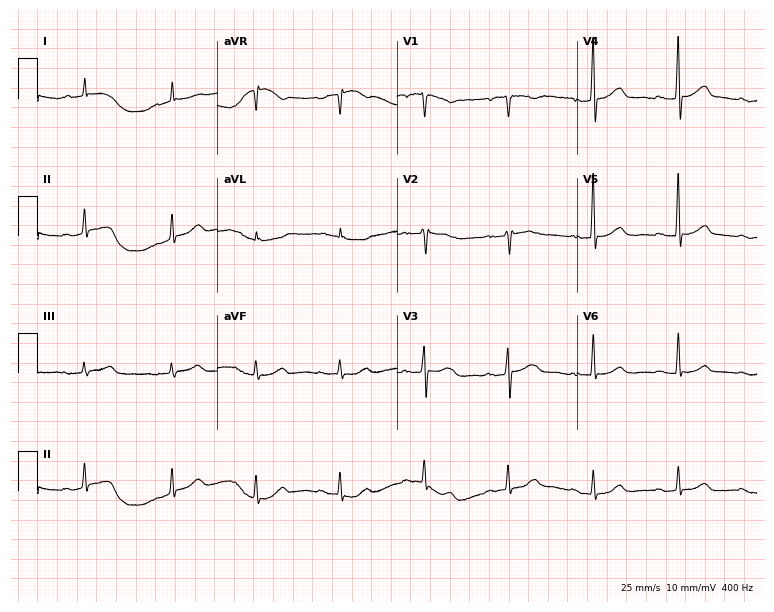
12-lead ECG from a 56-year-old male patient. Screened for six findings — first-degree AV block, right bundle branch block (RBBB), left bundle branch block (LBBB), sinus bradycardia, atrial fibrillation (AF), sinus tachycardia — none is recorded.